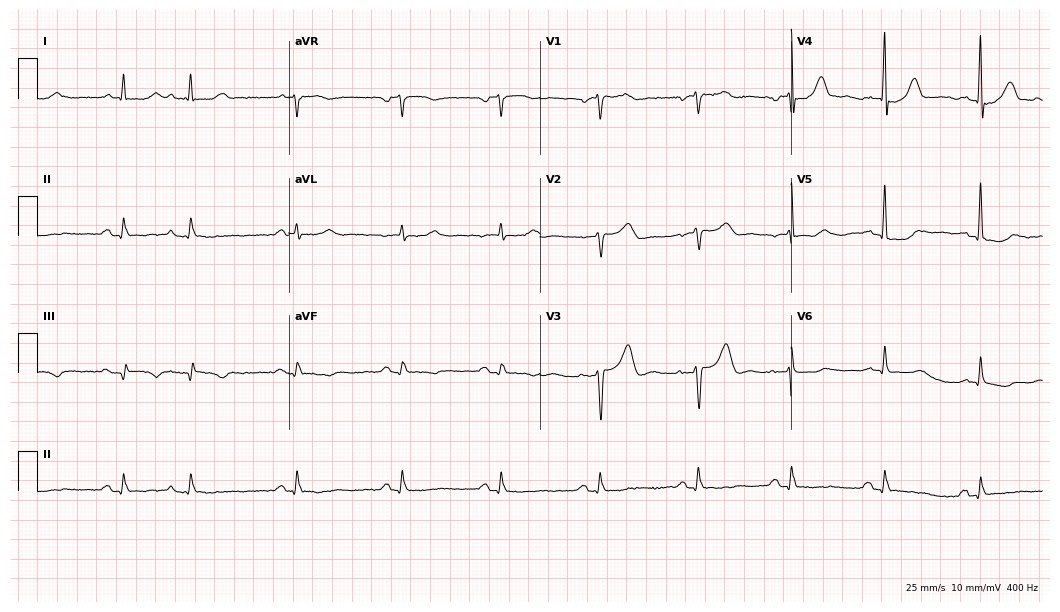
12-lead ECG (10.2-second recording at 400 Hz) from a male, 82 years old. Screened for six findings — first-degree AV block, right bundle branch block, left bundle branch block, sinus bradycardia, atrial fibrillation, sinus tachycardia — none is recorded. Findings outside these six are not listed.